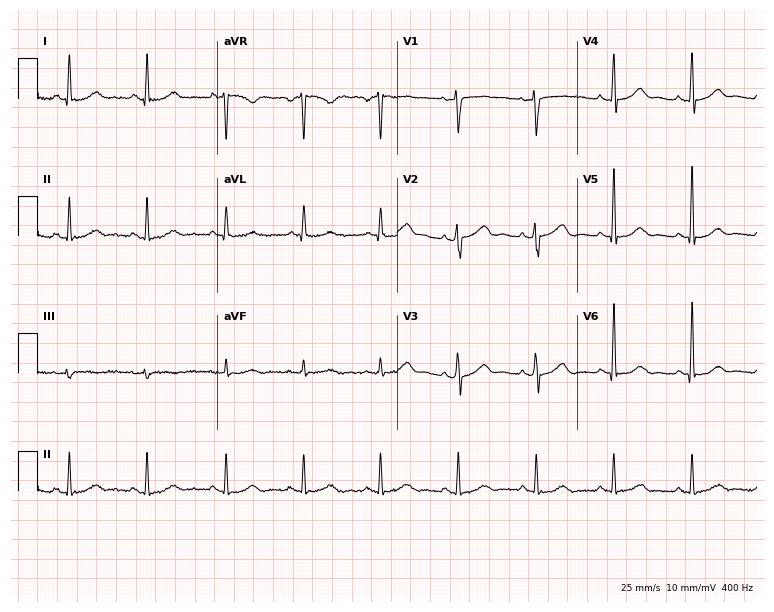
12-lead ECG from a female patient, 55 years old (7.3-second recording at 400 Hz). No first-degree AV block, right bundle branch block, left bundle branch block, sinus bradycardia, atrial fibrillation or sinus tachycardia recorded for this tracing. Only these six findings were labelled.